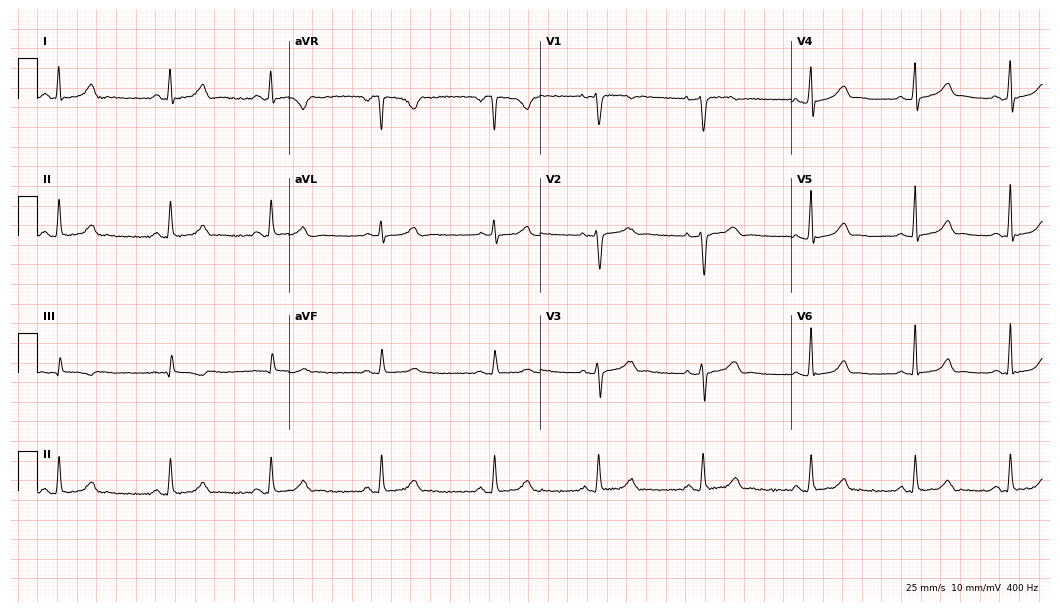
Resting 12-lead electrocardiogram (10.2-second recording at 400 Hz). Patient: a 38-year-old woman. Read as a normal ECG.